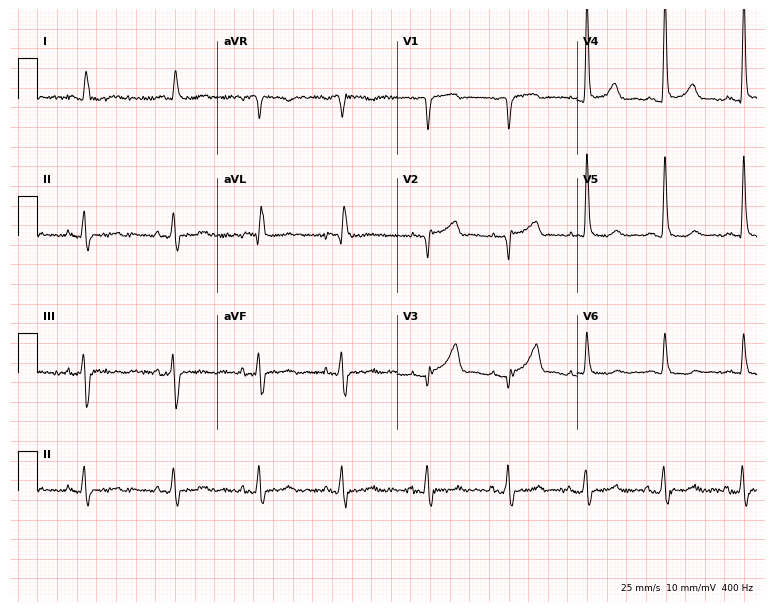
Electrocardiogram, a 60-year-old man. Overall reading on record: normal ECG.